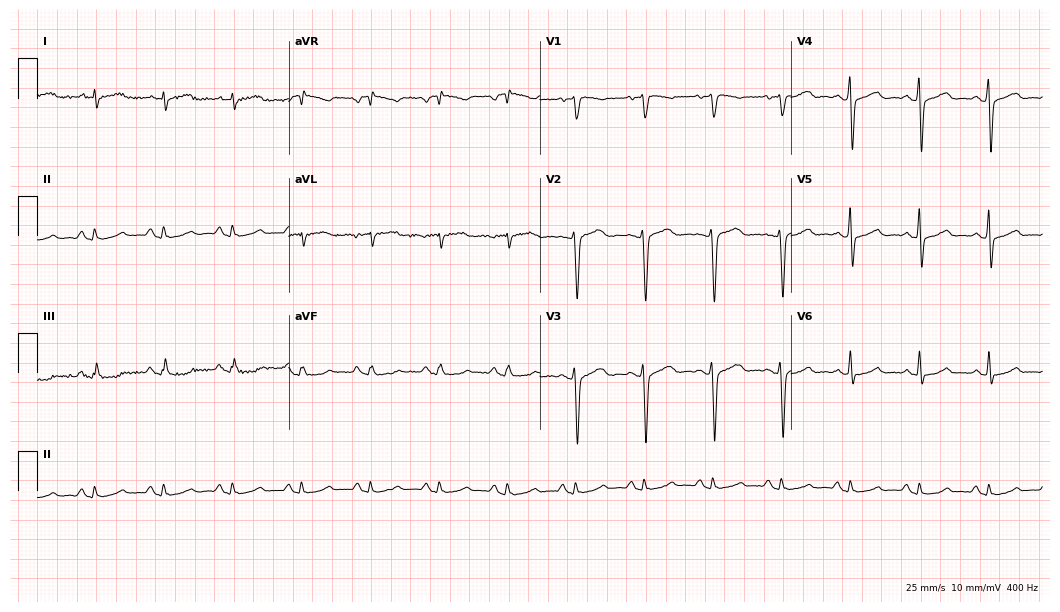
Standard 12-lead ECG recorded from a female patient, 59 years old. Read as a normal ECG.